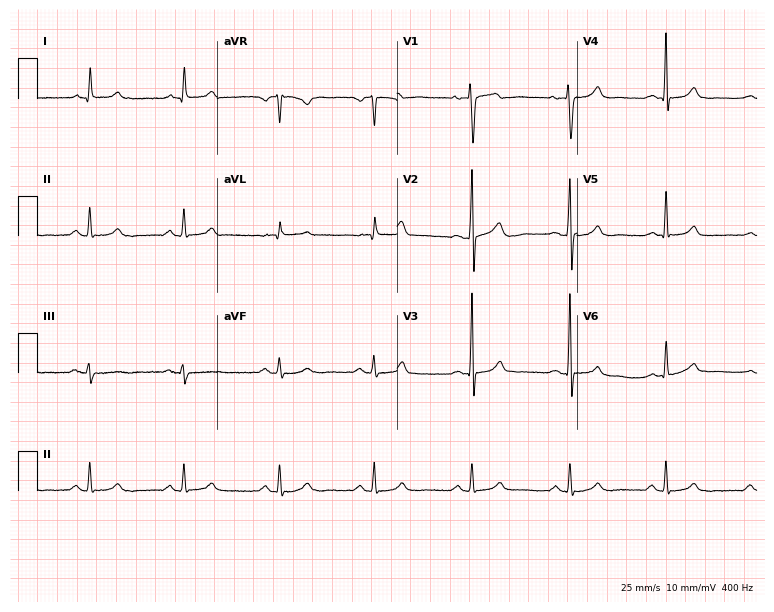
12-lead ECG from a man, 35 years old. No first-degree AV block, right bundle branch block, left bundle branch block, sinus bradycardia, atrial fibrillation or sinus tachycardia recorded for this tracing.